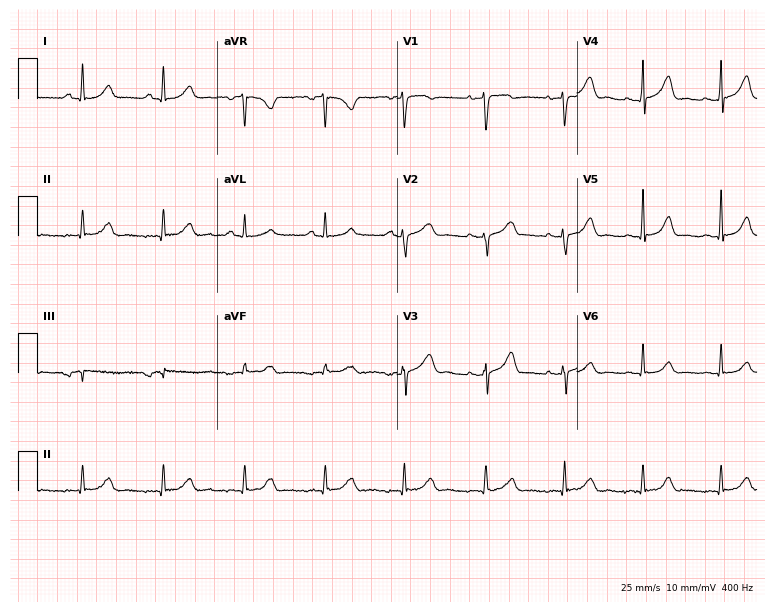
12-lead ECG from a 47-year-old female patient. Recorded interpretation: within normal limits.